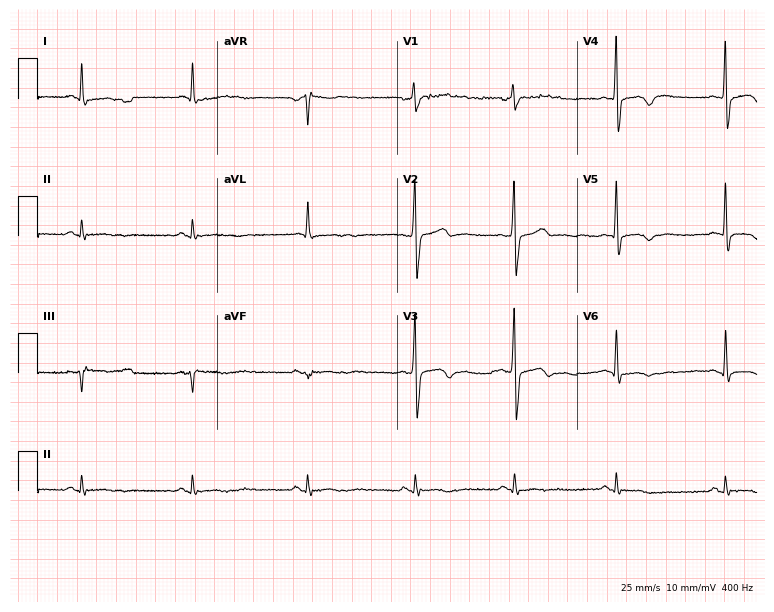
Standard 12-lead ECG recorded from a male patient, 40 years old (7.3-second recording at 400 Hz). None of these six findings is recorded: first-degree AV block, right bundle branch block, left bundle branch block, sinus bradycardia, atrial fibrillation, sinus tachycardia.